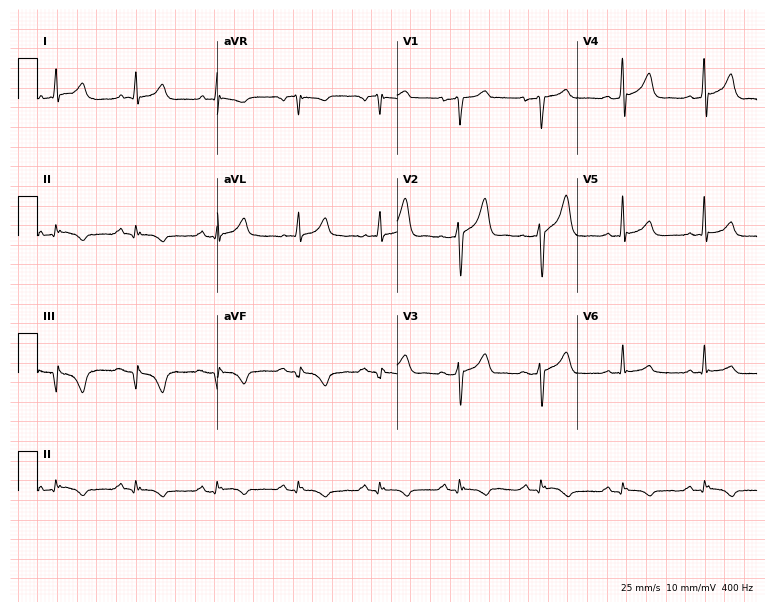
Standard 12-lead ECG recorded from a 47-year-old man (7.3-second recording at 400 Hz). Read as a normal ECG.